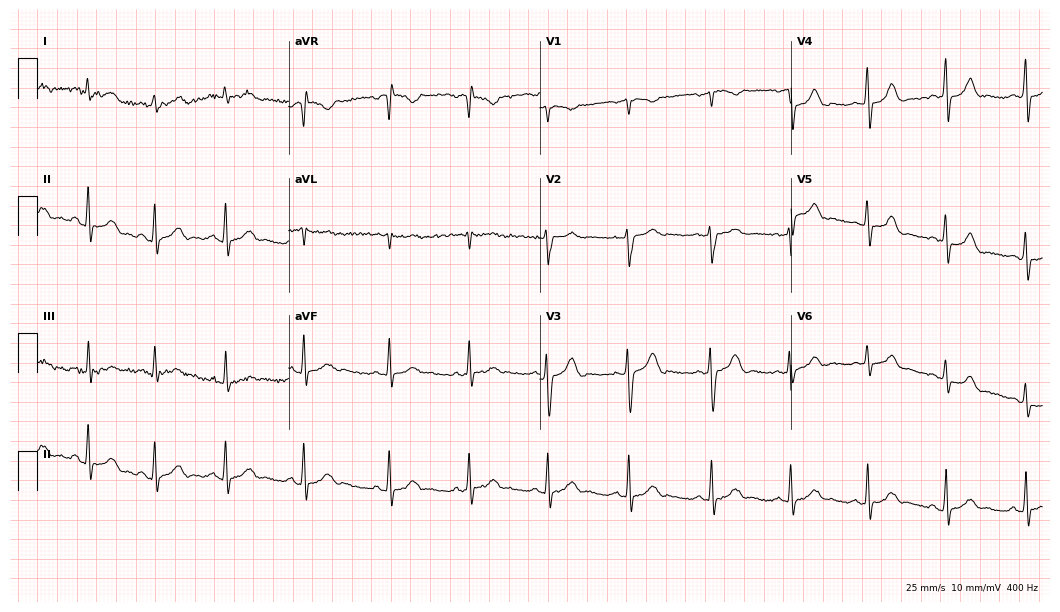
Resting 12-lead electrocardiogram (10.2-second recording at 400 Hz). Patient: a 25-year-old woman. Read as a normal ECG.